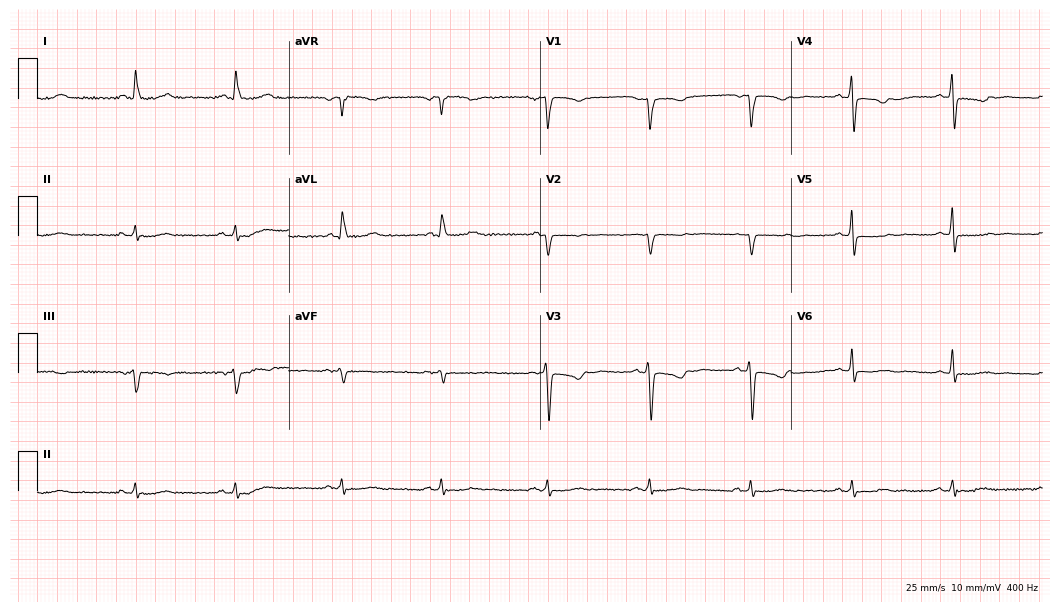
Resting 12-lead electrocardiogram. Patient: a 61-year-old female. None of these six findings is recorded: first-degree AV block, right bundle branch block, left bundle branch block, sinus bradycardia, atrial fibrillation, sinus tachycardia. Only these six findings were labelled.